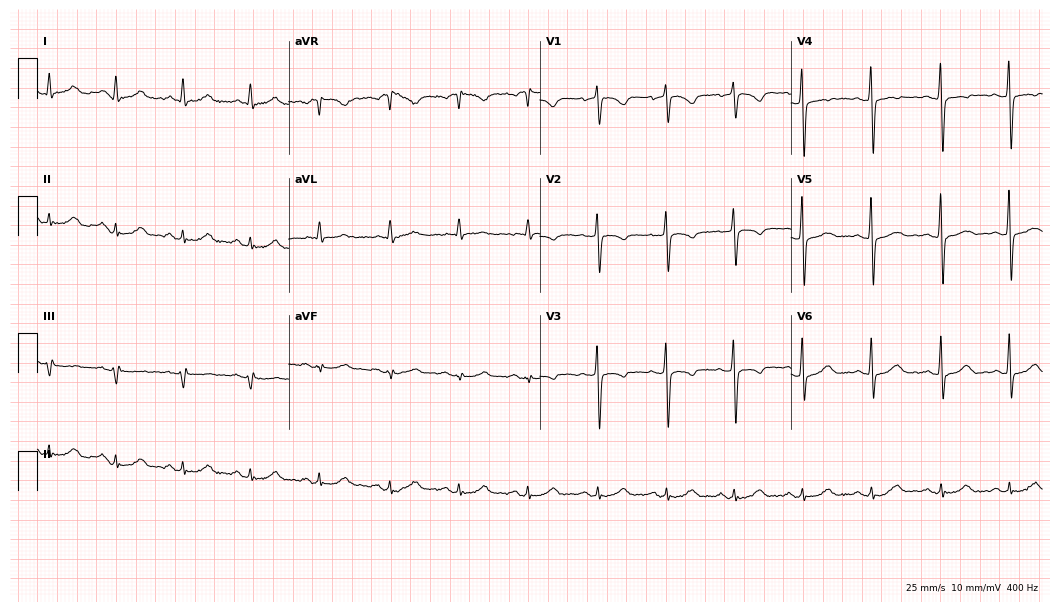
ECG (10.2-second recording at 400 Hz) — a 48-year-old male. Screened for six findings — first-degree AV block, right bundle branch block (RBBB), left bundle branch block (LBBB), sinus bradycardia, atrial fibrillation (AF), sinus tachycardia — none is recorded.